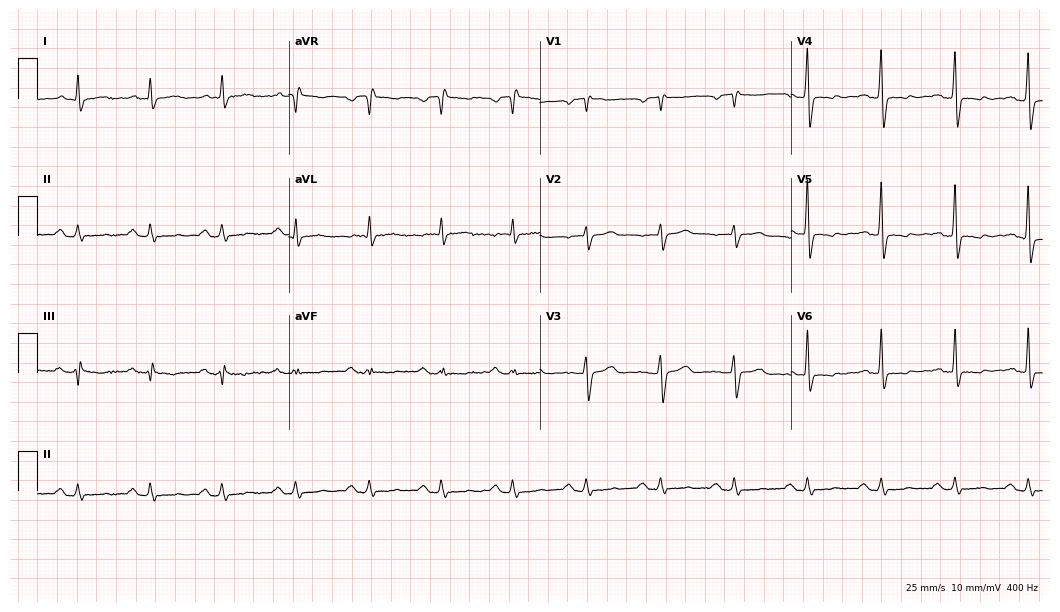
12-lead ECG from a 57-year-old male (10.2-second recording at 400 Hz). No first-degree AV block, right bundle branch block, left bundle branch block, sinus bradycardia, atrial fibrillation or sinus tachycardia recorded for this tracing.